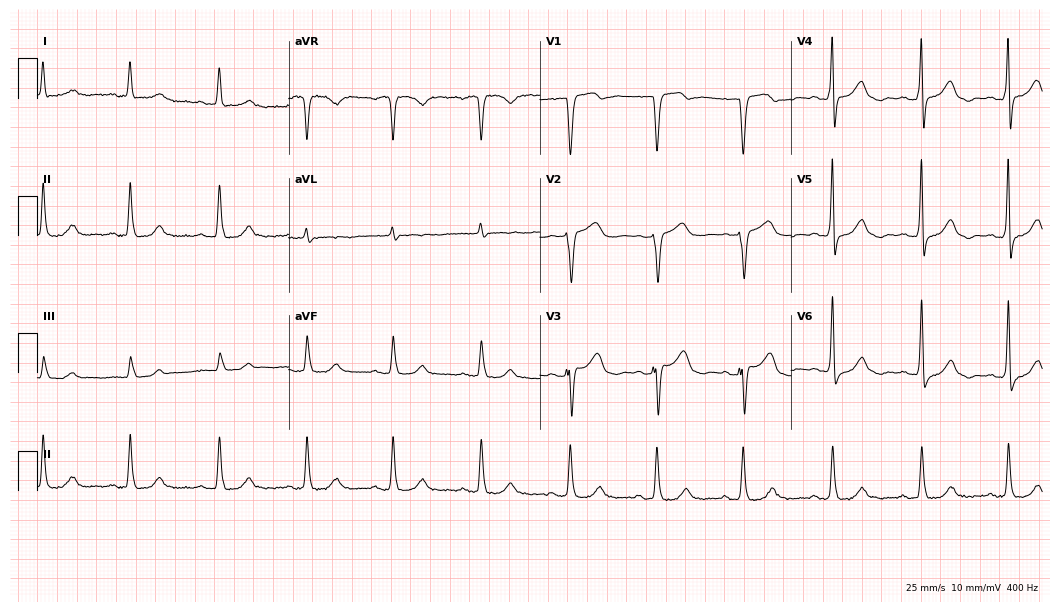
12-lead ECG (10.2-second recording at 400 Hz) from a woman, 66 years old. Screened for six findings — first-degree AV block, right bundle branch block (RBBB), left bundle branch block (LBBB), sinus bradycardia, atrial fibrillation (AF), sinus tachycardia — none is recorded.